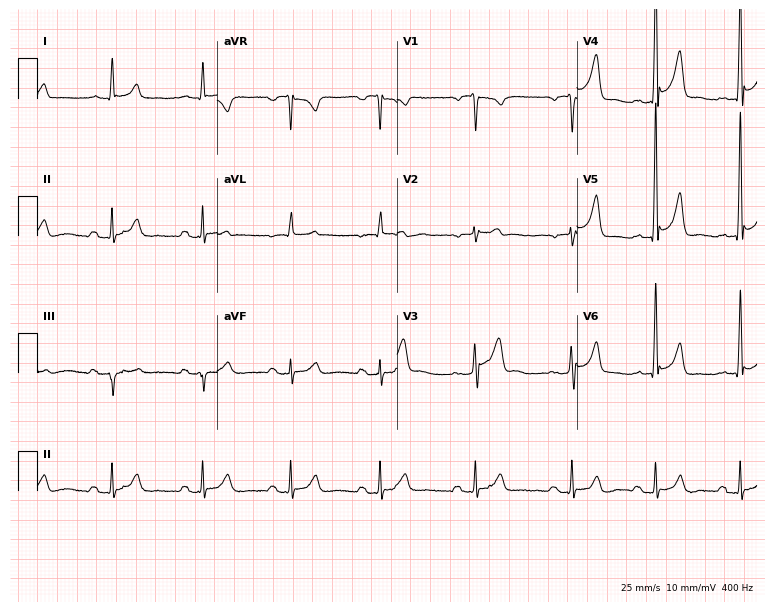
12-lead ECG from a 42-year-old male patient. Recorded interpretation: within normal limits.